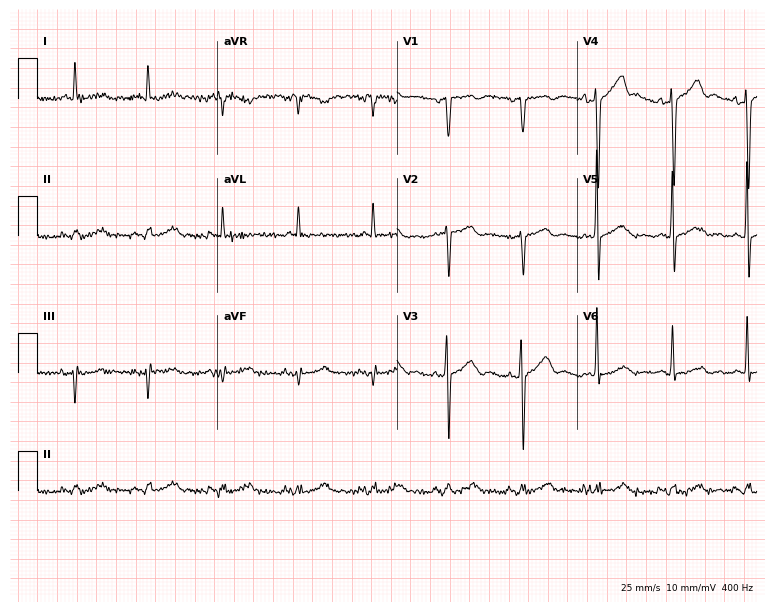
ECG — an 80-year-old man. Screened for six findings — first-degree AV block, right bundle branch block, left bundle branch block, sinus bradycardia, atrial fibrillation, sinus tachycardia — none is recorded.